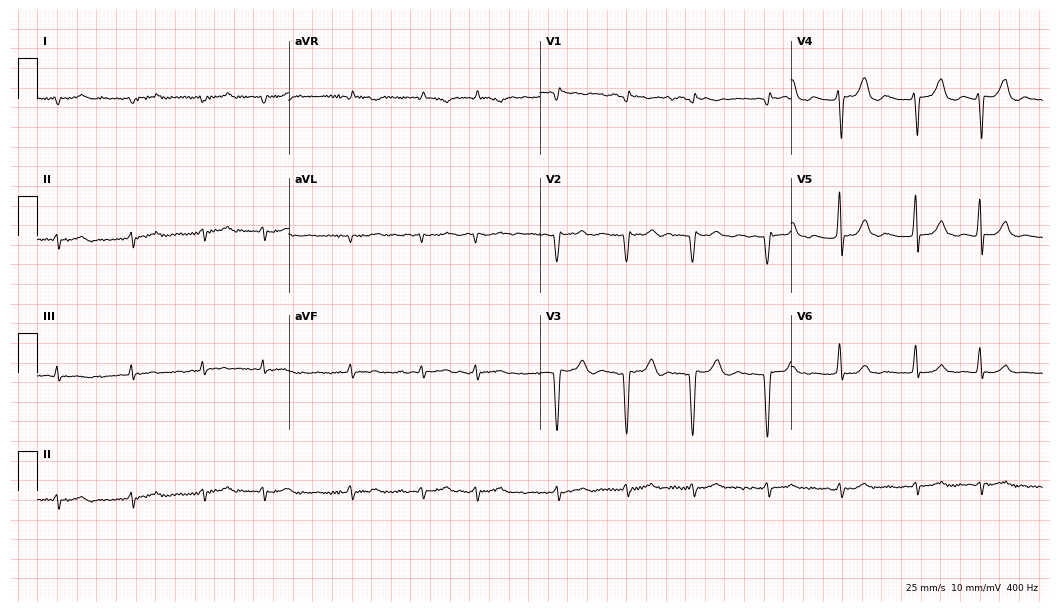
Resting 12-lead electrocardiogram (10.2-second recording at 400 Hz). Patient: a female, 57 years old. The tracing shows atrial fibrillation.